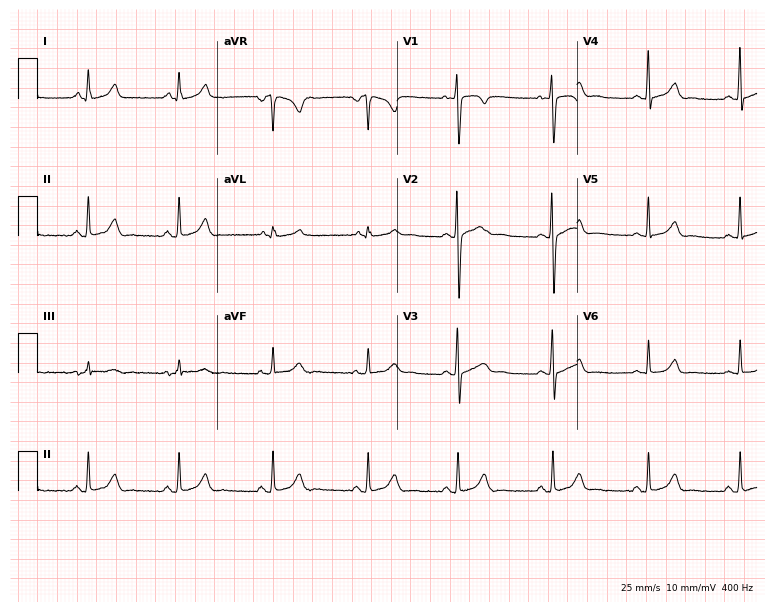
12-lead ECG (7.3-second recording at 400 Hz) from a female patient, 17 years old. Labelled as a normal ECG.